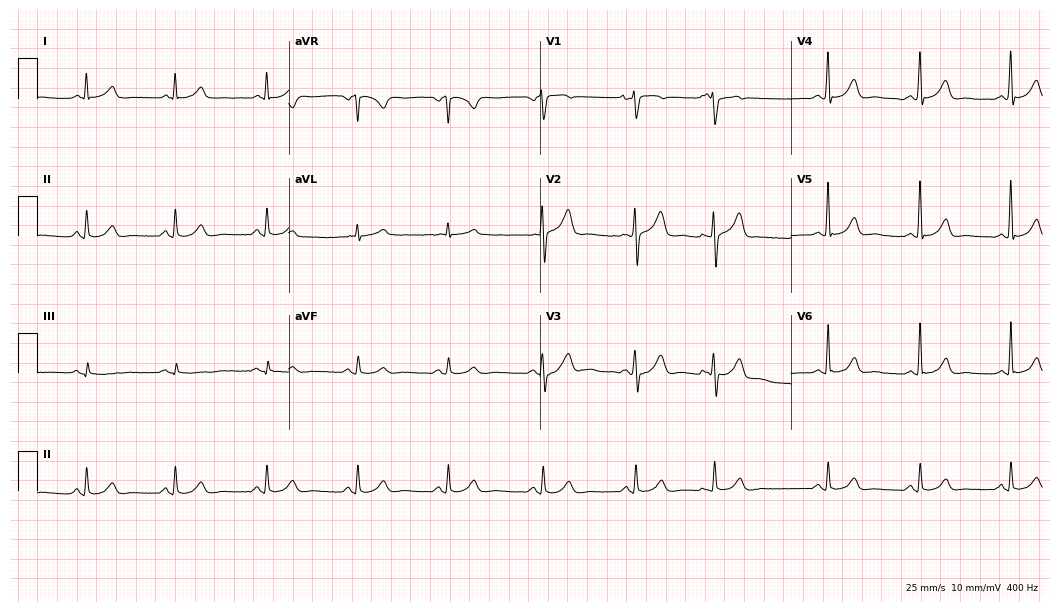
ECG — an 88-year-old male. Labelled as a normal ECG.